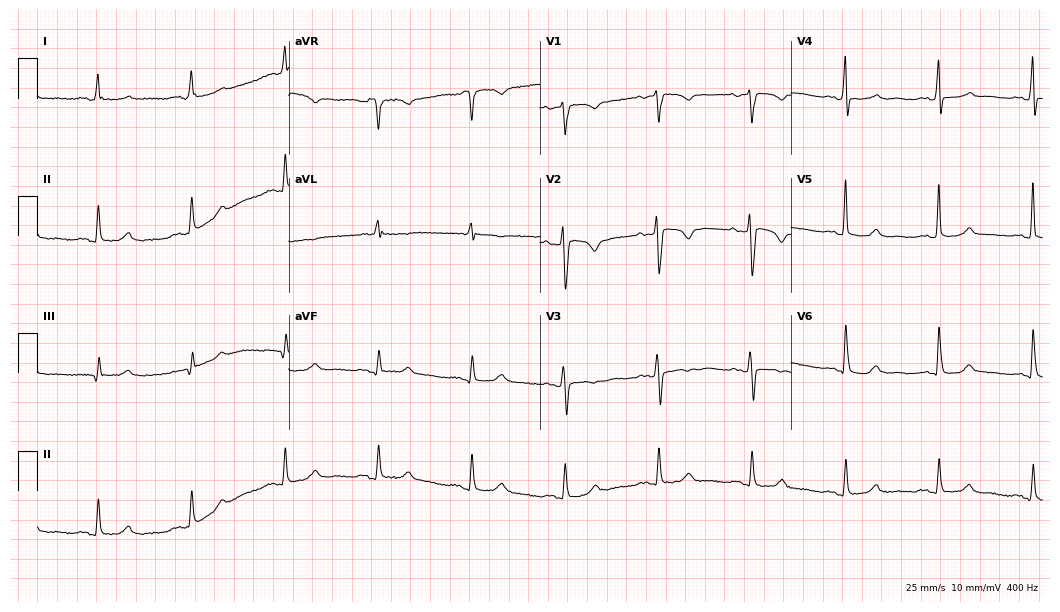
12-lead ECG (10.2-second recording at 400 Hz) from a 71-year-old woman. Screened for six findings — first-degree AV block, right bundle branch block (RBBB), left bundle branch block (LBBB), sinus bradycardia, atrial fibrillation (AF), sinus tachycardia — none is recorded. Findings outside these six are not listed.